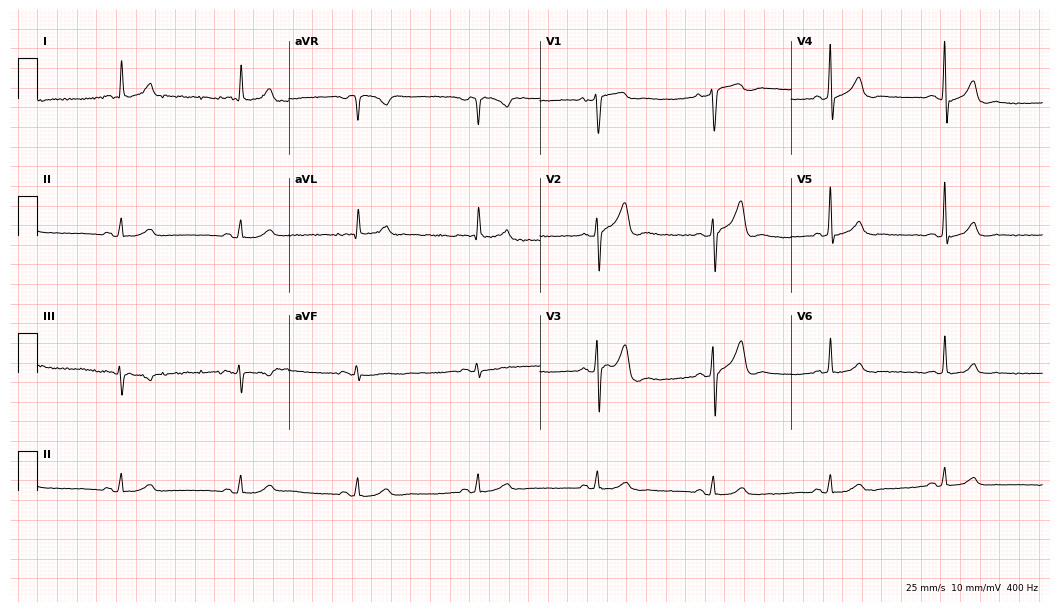
12-lead ECG from a 56-year-old male patient. No first-degree AV block, right bundle branch block (RBBB), left bundle branch block (LBBB), sinus bradycardia, atrial fibrillation (AF) or sinus tachycardia recorded for this tracing. Findings outside these six are not listed.